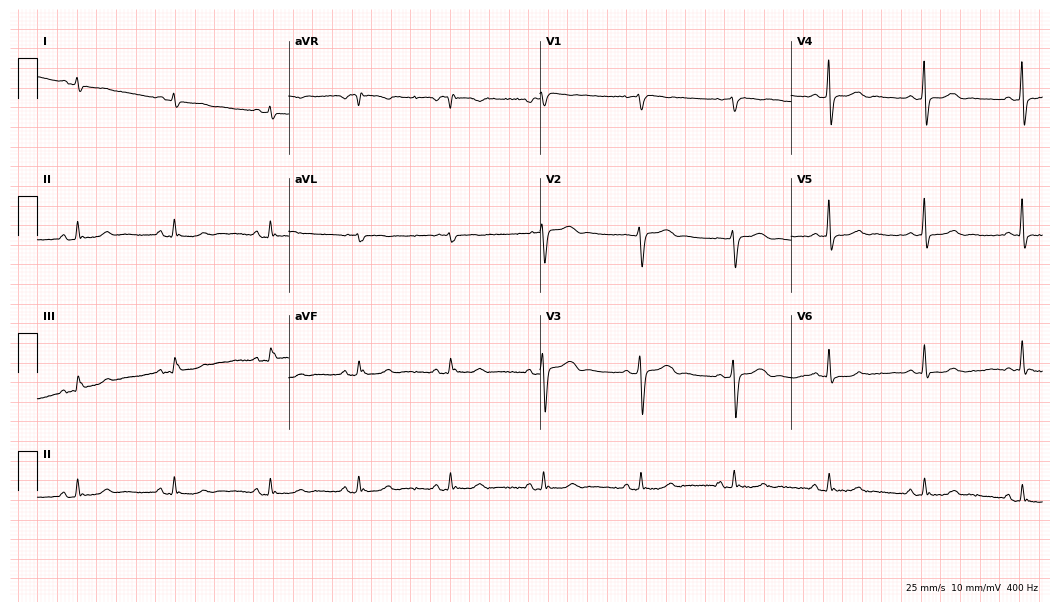
Standard 12-lead ECG recorded from a female, 54 years old (10.2-second recording at 400 Hz). None of these six findings is recorded: first-degree AV block, right bundle branch block, left bundle branch block, sinus bradycardia, atrial fibrillation, sinus tachycardia.